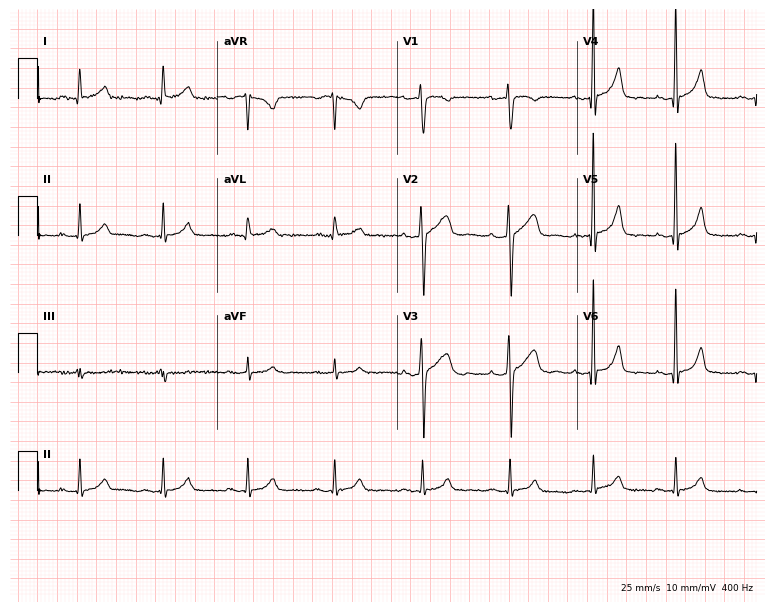
12-lead ECG from a 29-year-old male patient. Labelled as a normal ECG.